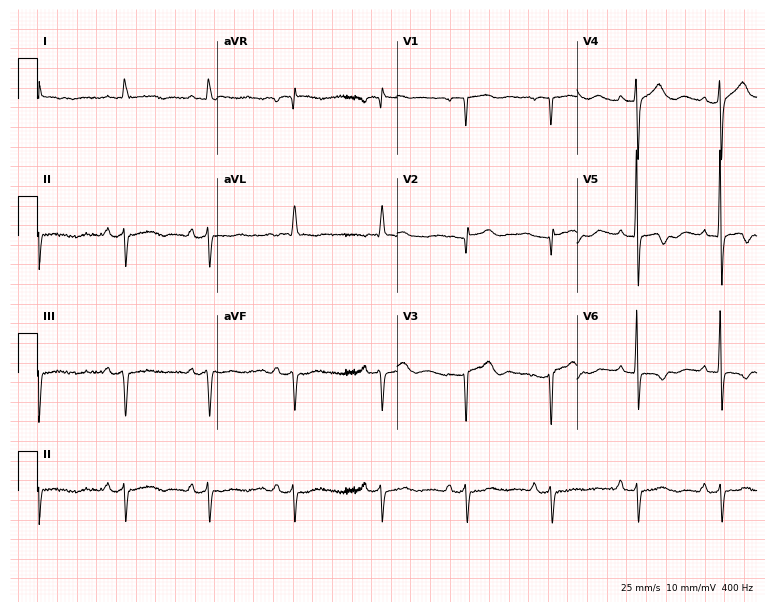
12-lead ECG from a male, 79 years old. Screened for six findings — first-degree AV block, right bundle branch block, left bundle branch block, sinus bradycardia, atrial fibrillation, sinus tachycardia — none is recorded. Other findings, if any, are not listed.